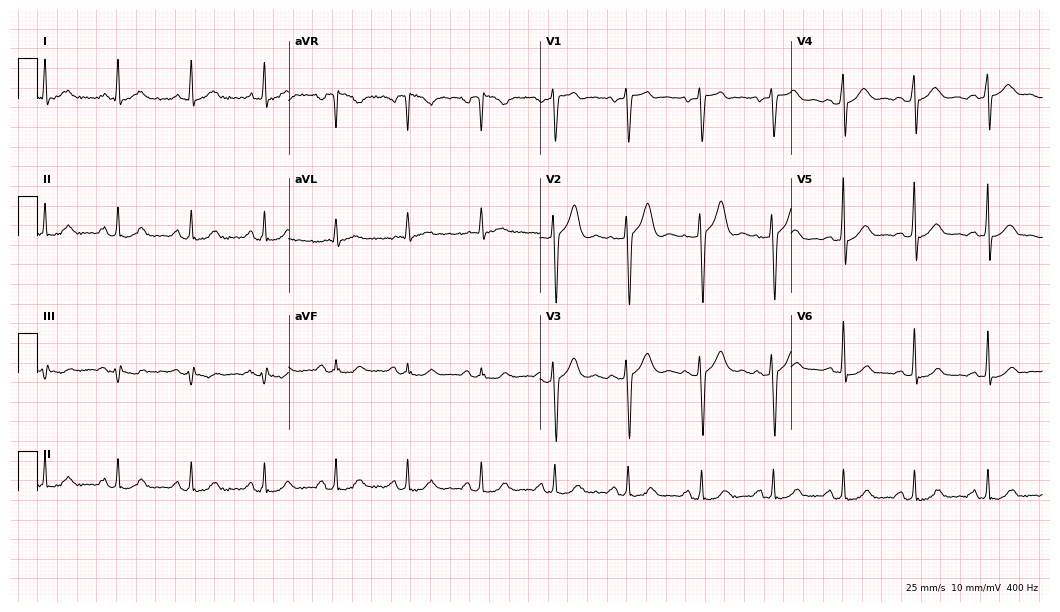
Electrocardiogram (10.2-second recording at 400 Hz), a 46-year-old male. Overall reading on record: normal ECG.